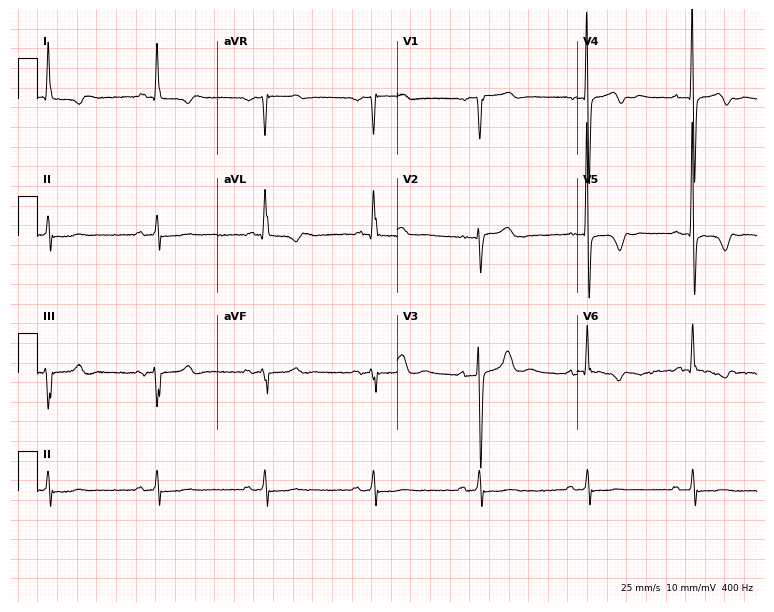
12-lead ECG from a 64-year-old male. No first-degree AV block, right bundle branch block, left bundle branch block, sinus bradycardia, atrial fibrillation or sinus tachycardia recorded for this tracing. Other findings, if any, are not listed.